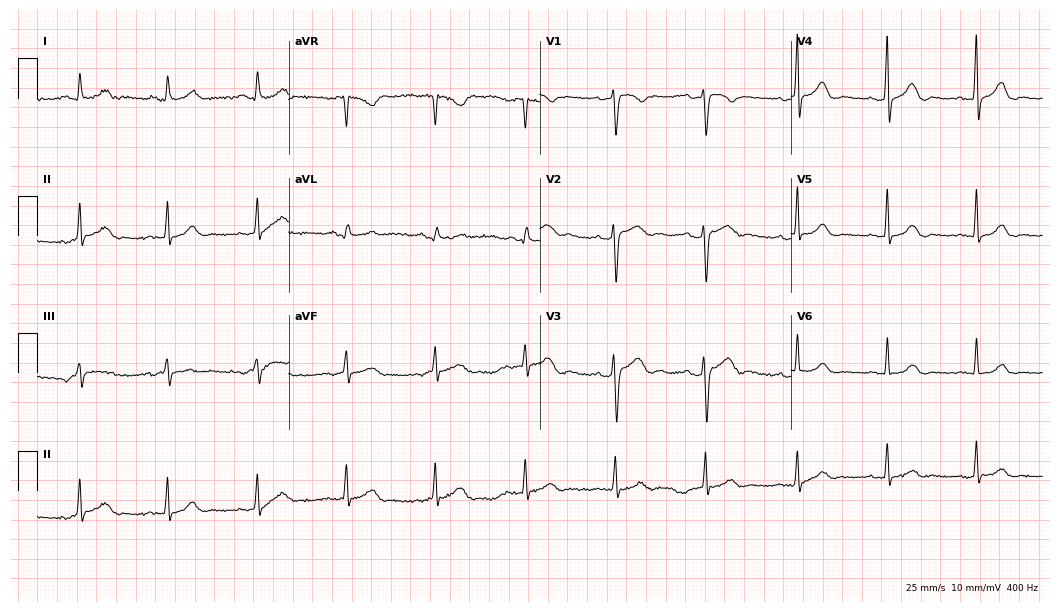
12-lead ECG from a woman, 55 years old. Recorded interpretation: within normal limits.